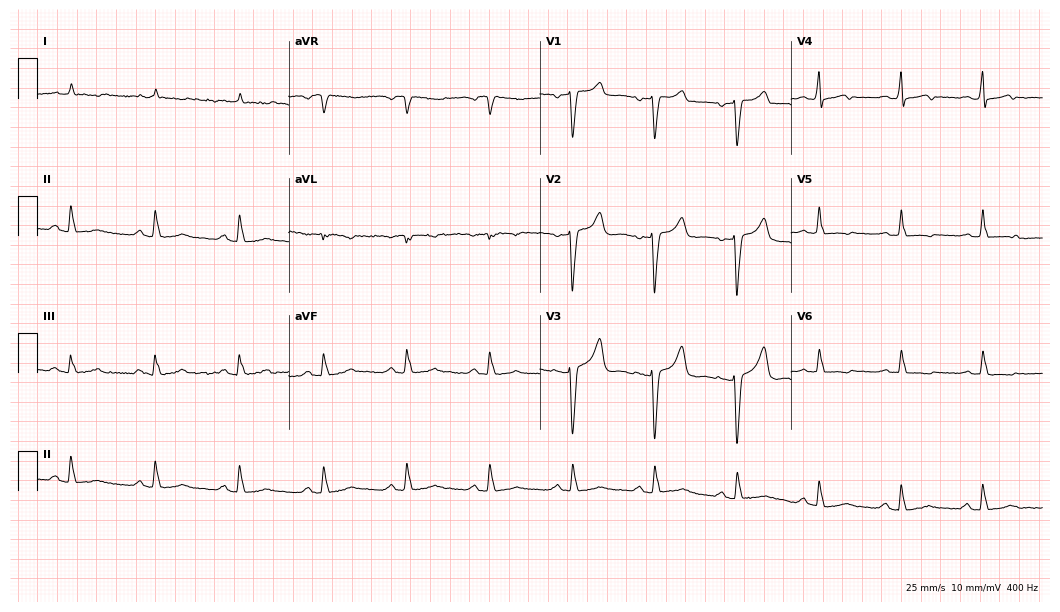
Electrocardiogram (10.2-second recording at 400 Hz), a 70-year-old female. Of the six screened findings (first-degree AV block, right bundle branch block (RBBB), left bundle branch block (LBBB), sinus bradycardia, atrial fibrillation (AF), sinus tachycardia), none is recorded.